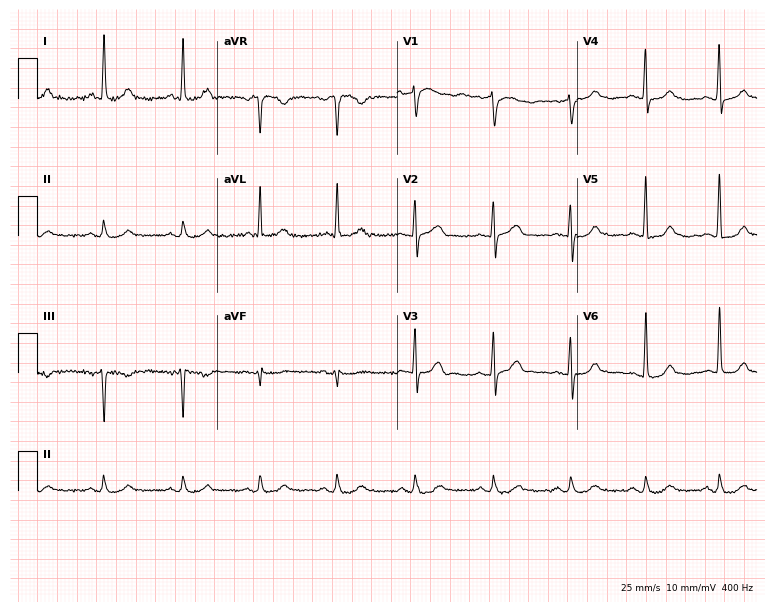
Resting 12-lead electrocardiogram (7.3-second recording at 400 Hz). Patient: a woman, 83 years old. Read as a normal ECG.